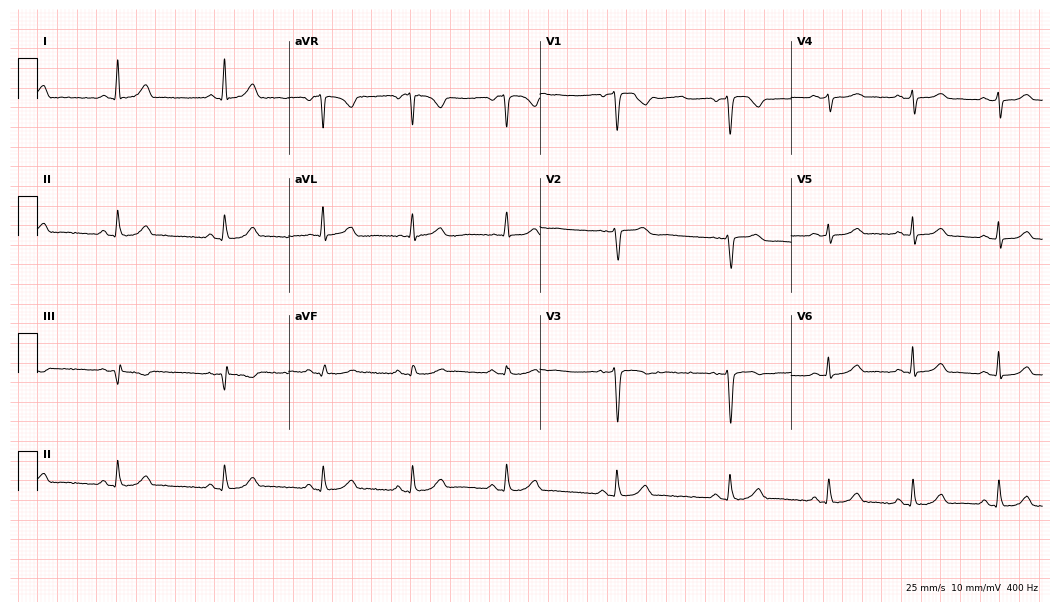
ECG (10.2-second recording at 400 Hz) — a 46-year-old female. Labelled as a normal ECG.